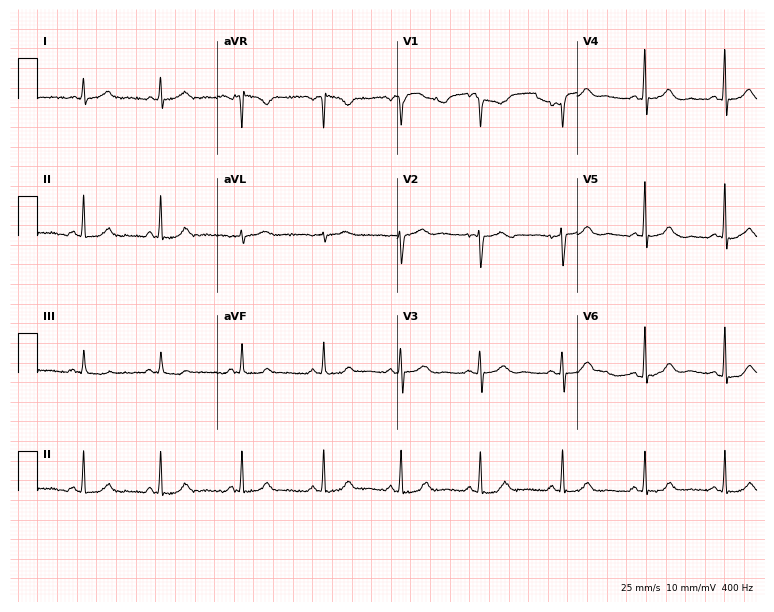
Standard 12-lead ECG recorded from a 36-year-old woman. None of these six findings is recorded: first-degree AV block, right bundle branch block, left bundle branch block, sinus bradycardia, atrial fibrillation, sinus tachycardia. Findings outside these six are not listed.